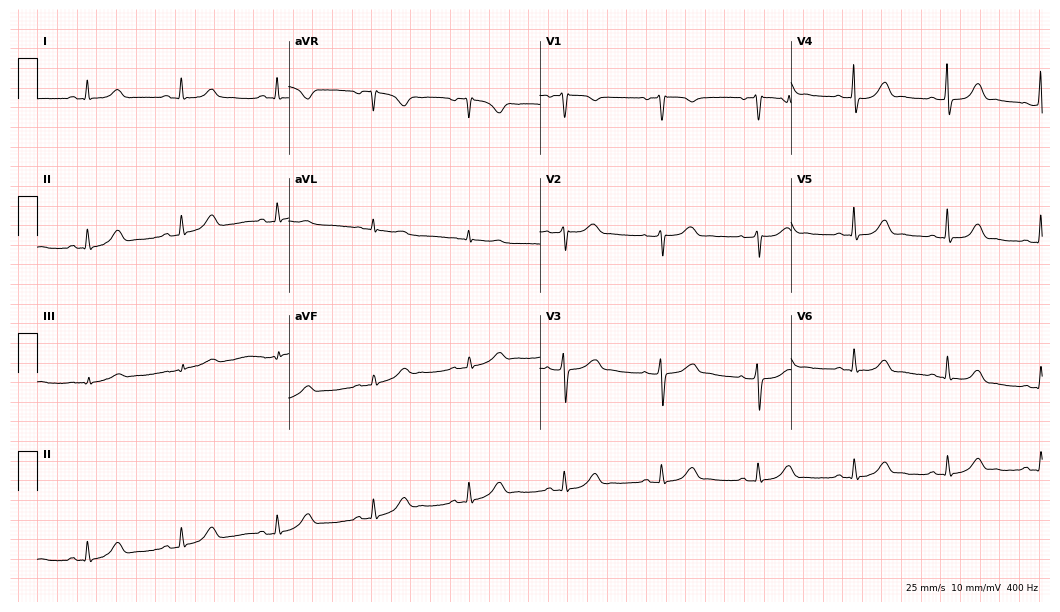
Standard 12-lead ECG recorded from a woman, 51 years old (10.2-second recording at 400 Hz). None of these six findings is recorded: first-degree AV block, right bundle branch block, left bundle branch block, sinus bradycardia, atrial fibrillation, sinus tachycardia.